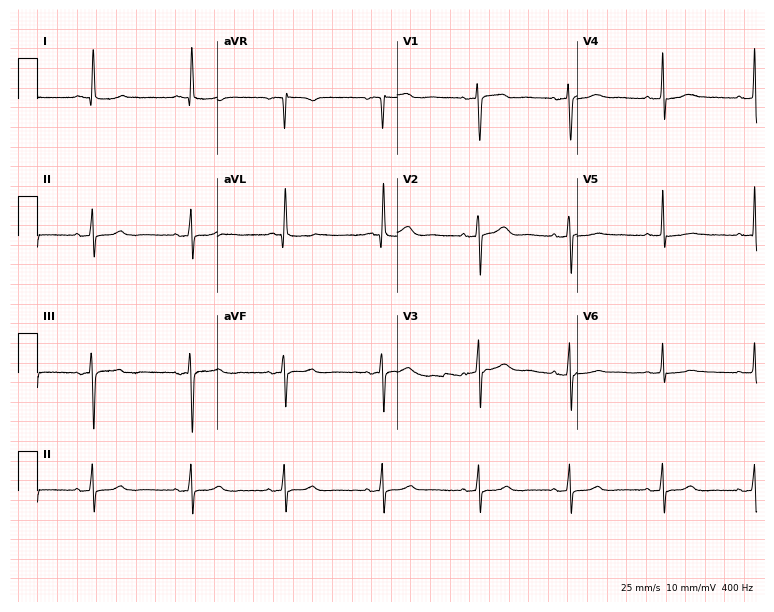
Standard 12-lead ECG recorded from a female patient, 71 years old (7.3-second recording at 400 Hz). None of these six findings is recorded: first-degree AV block, right bundle branch block, left bundle branch block, sinus bradycardia, atrial fibrillation, sinus tachycardia. Findings outside these six are not listed.